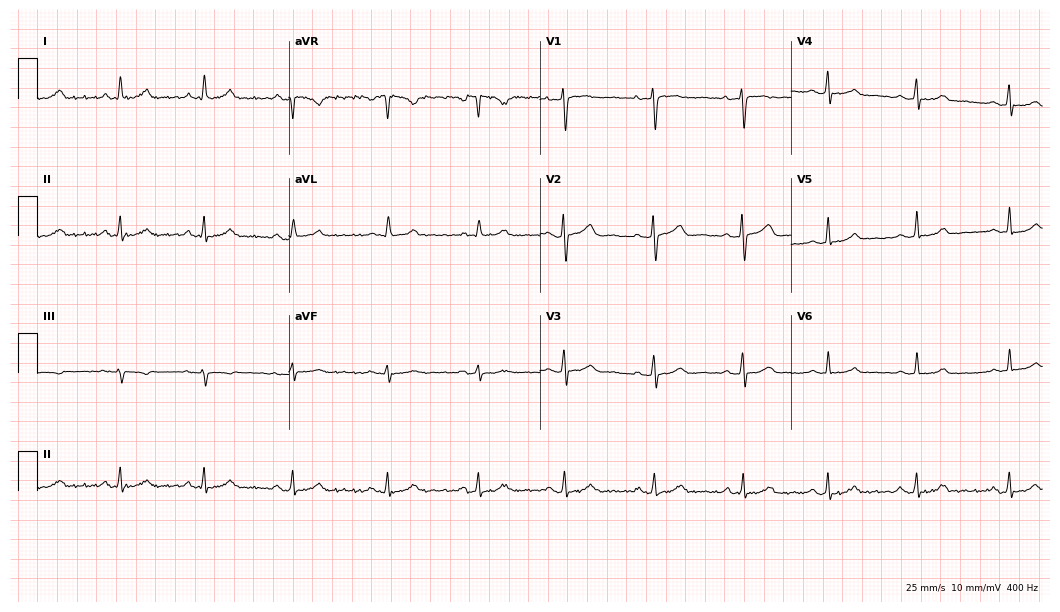
Electrocardiogram, a female, 29 years old. Of the six screened findings (first-degree AV block, right bundle branch block (RBBB), left bundle branch block (LBBB), sinus bradycardia, atrial fibrillation (AF), sinus tachycardia), none is recorded.